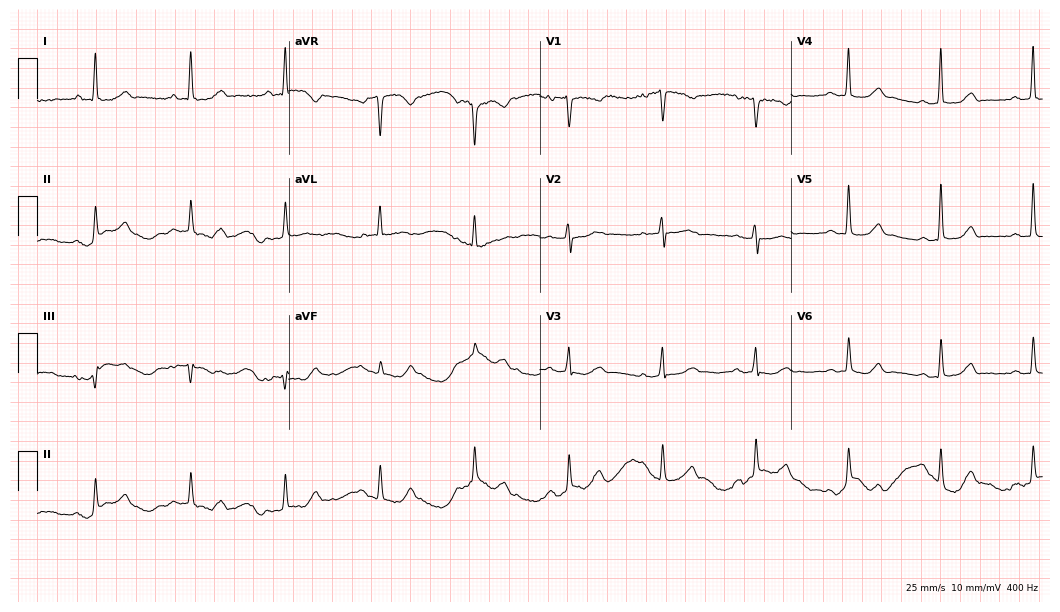
Standard 12-lead ECG recorded from a female, 69 years old (10.2-second recording at 400 Hz). Read as a normal ECG.